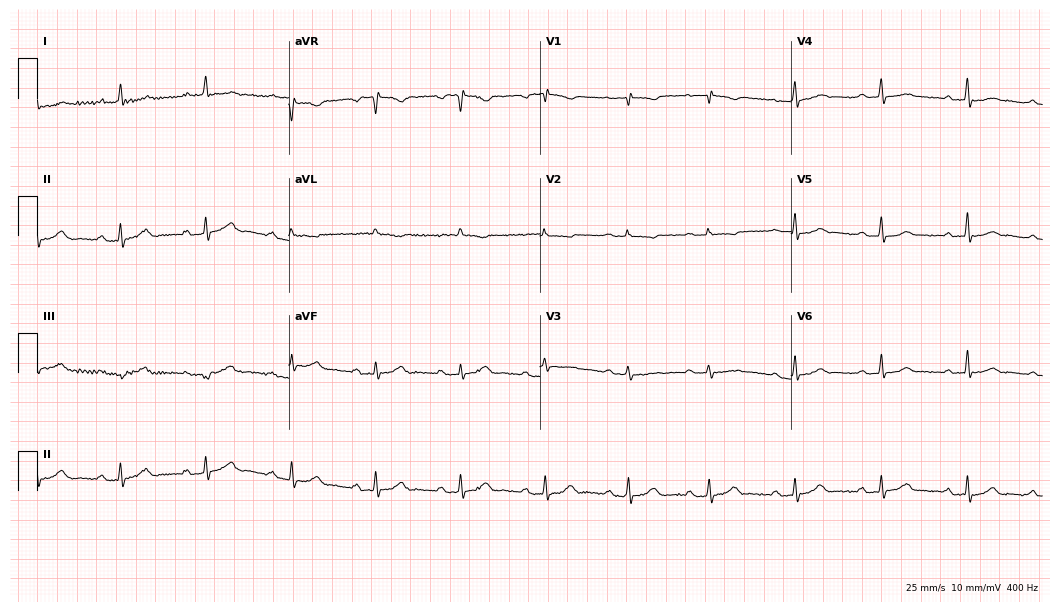
ECG — a female, 69 years old. Labelled as a normal ECG.